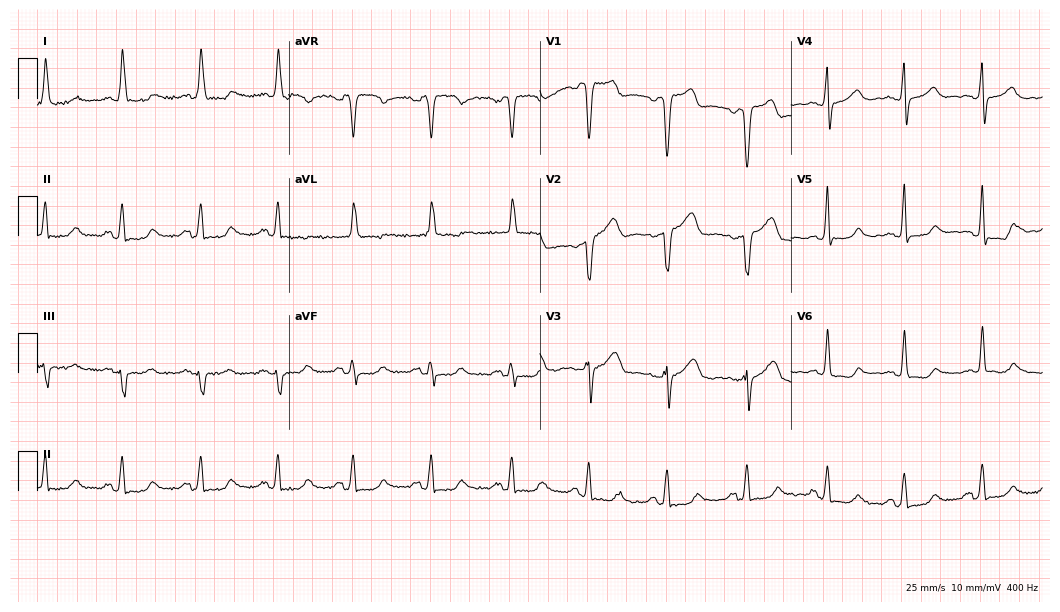
Resting 12-lead electrocardiogram (10.2-second recording at 400 Hz). Patient: a female, 59 years old. None of these six findings is recorded: first-degree AV block, right bundle branch block, left bundle branch block, sinus bradycardia, atrial fibrillation, sinus tachycardia. Other findings, if any, are not listed.